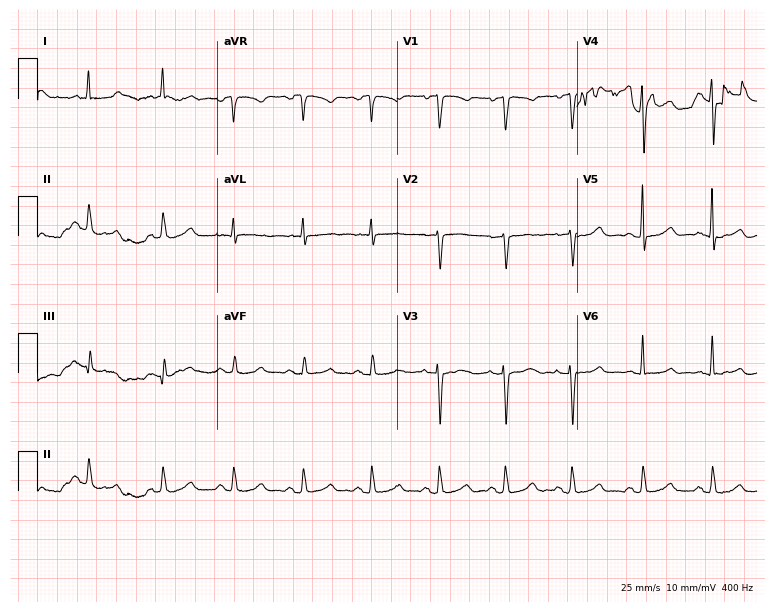
Resting 12-lead electrocardiogram (7.3-second recording at 400 Hz). Patient: a woman, 55 years old. Read as a normal ECG.